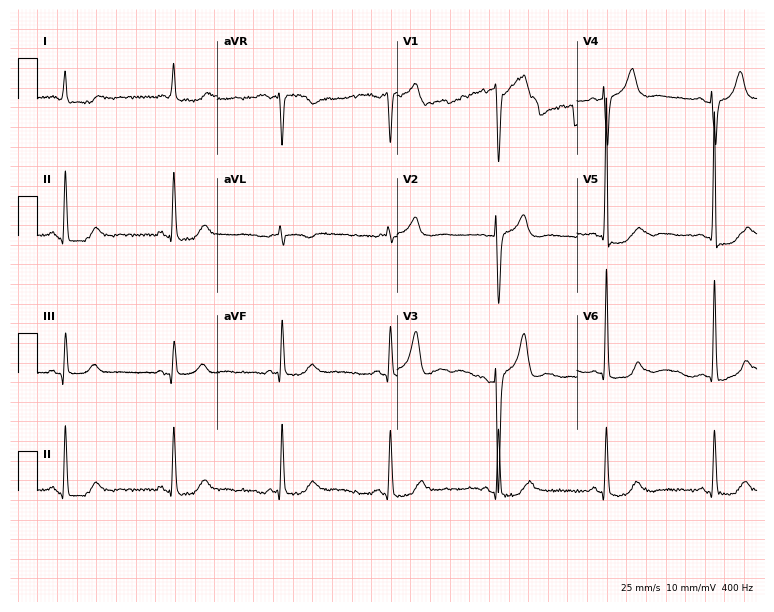
ECG — a 74-year-old male patient. Labelled as a normal ECG.